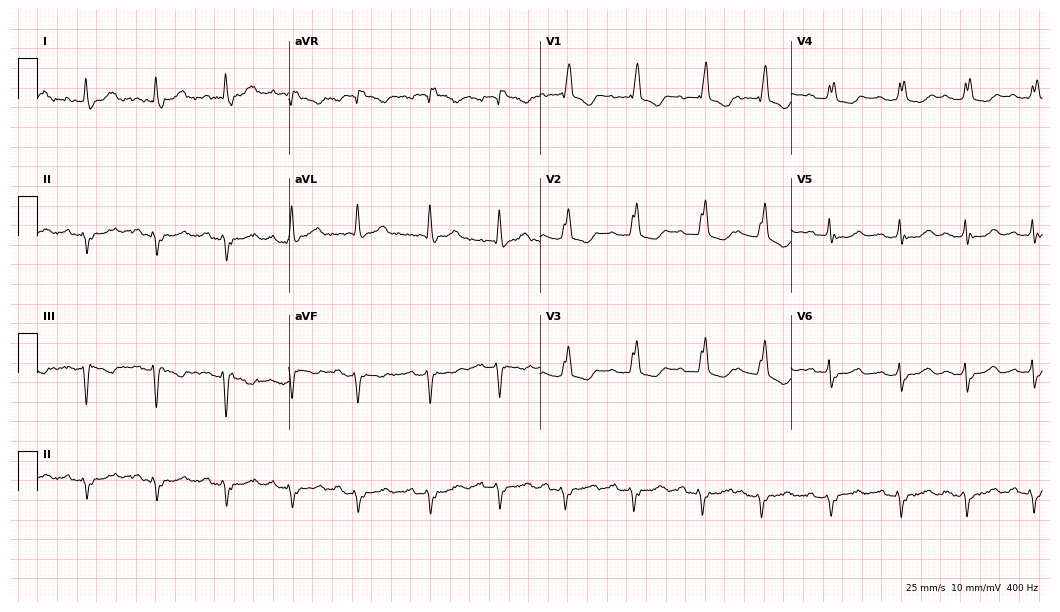
Standard 12-lead ECG recorded from a woman, 67 years old. The tracing shows right bundle branch block (RBBB).